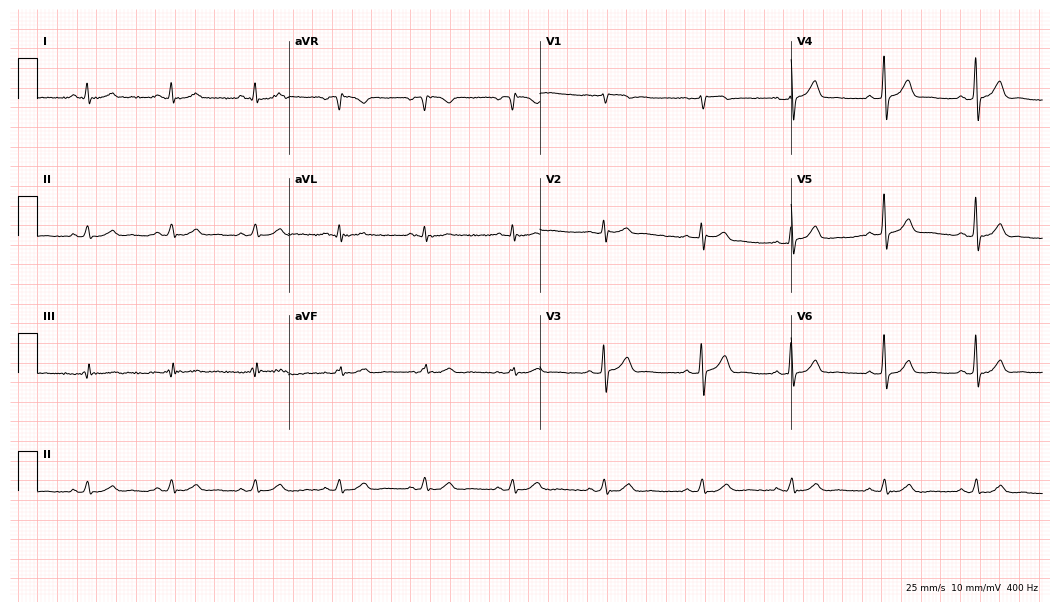
12-lead ECG from a male patient, 41 years old. Recorded interpretation: within normal limits.